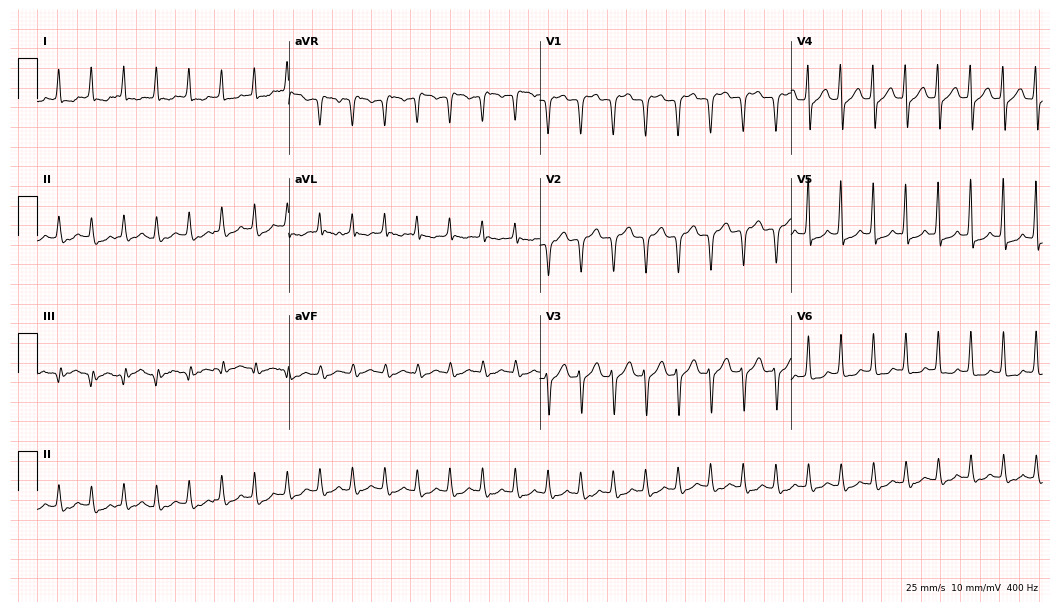
Electrocardiogram, an 83-year-old female patient. Of the six screened findings (first-degree AV block, right bundle branch block (RBBB), left bundle branch block (LBBB), sinus bradycardia, atrial fibrillation (AF), sinus tachycardia), none is recorded.